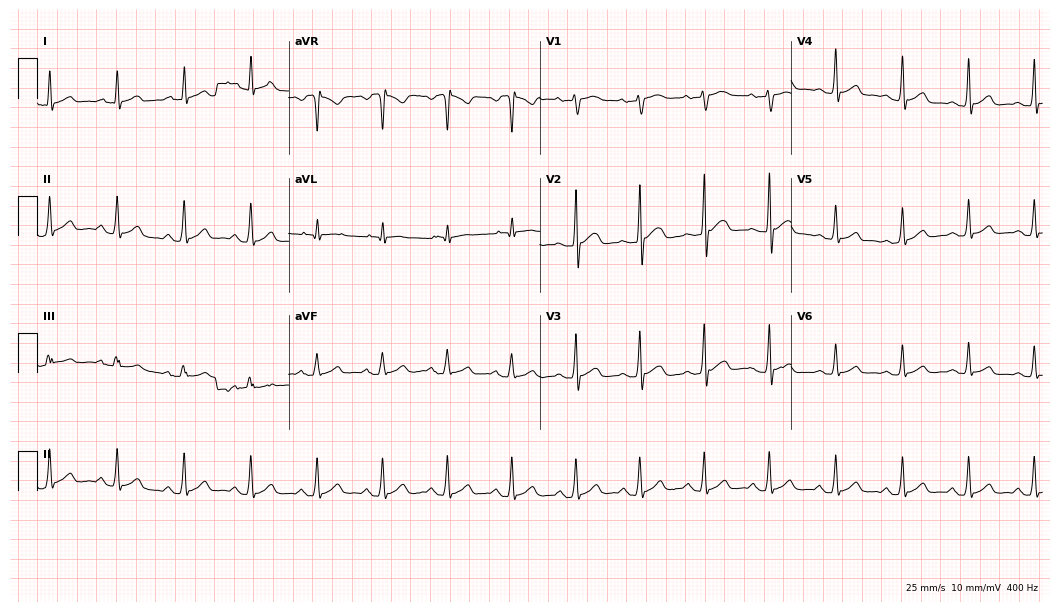
ECG (10.2-second recording at 400 Hz) — a 39-year-old man. Labelled as a normal ECG.